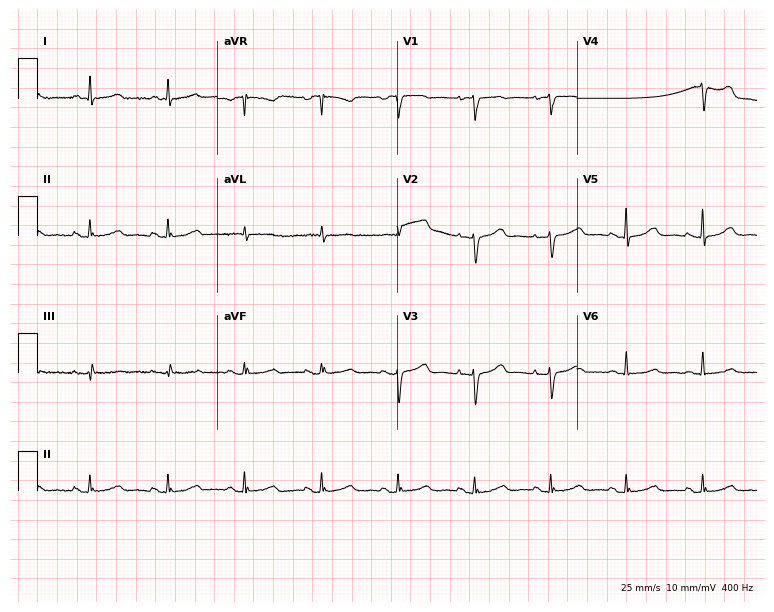
12-lead ECG (7.3-second recording at 400 Hz) from a woman, 72 years old. Screened for six findings — first-degree AV block, right bundle branch block, left bundle branch block, sinus bradycardia, atrial fibrillation, sinus tachycardia — none is recorded. Only these six findings were labelled.